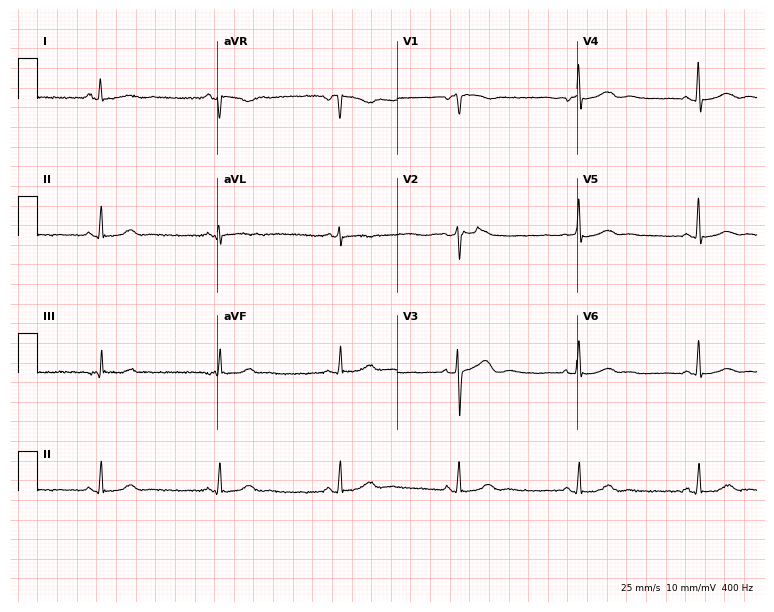
12-lead ECG from a female patient, 68 years old (7.3-second recording at 400 Hz). Shows sinus bradycardia (a sinus rate of 50 beats per minute or less).